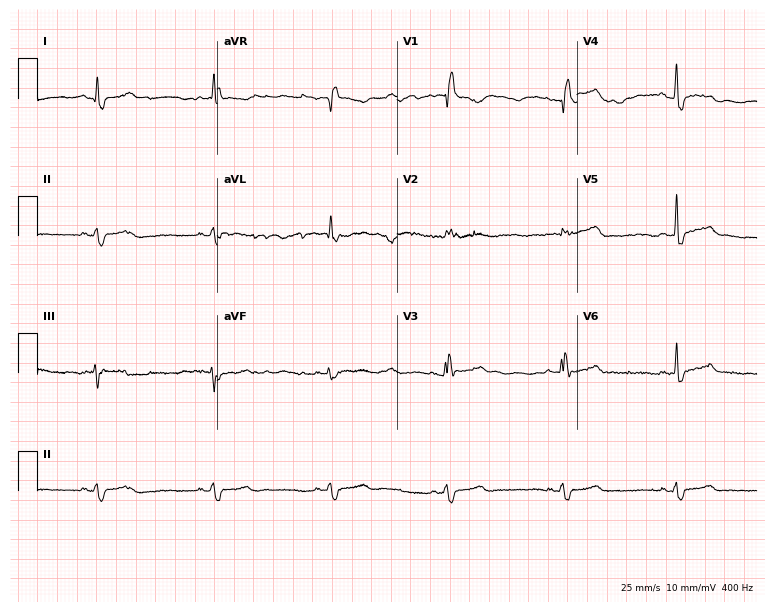
Resting 12-lead electrocardiogram (7.3-second recording at 400 Hz). Patient: a 60-year-old man. The tracing shows right bundle branch block, sinus bradycardia (a sinus rate of 50 beats per minute or less).